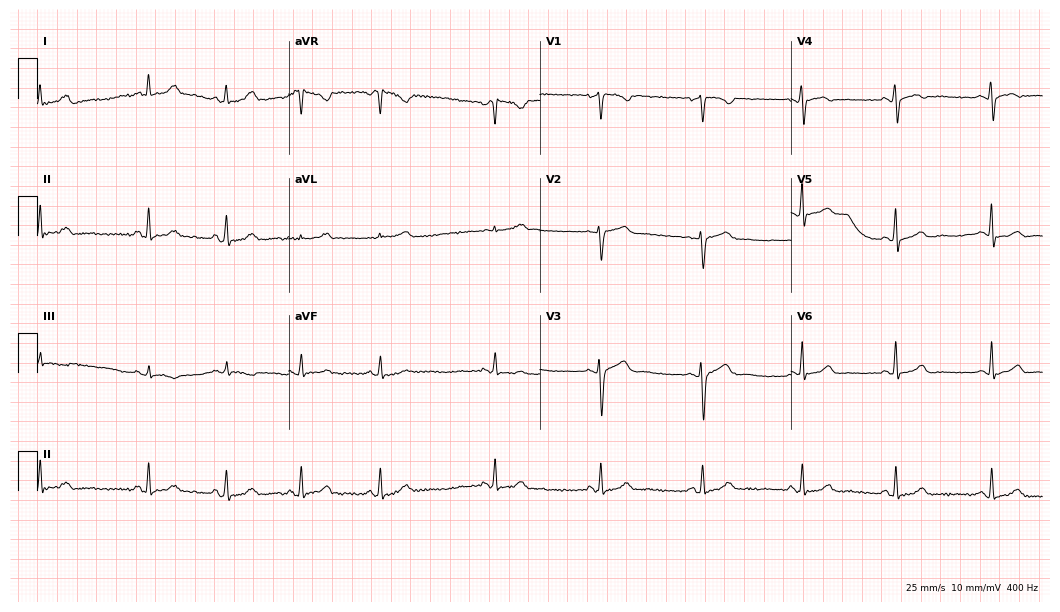
12-lead ECG from a 33-year-old female patient. Labelled as a normal ECG.